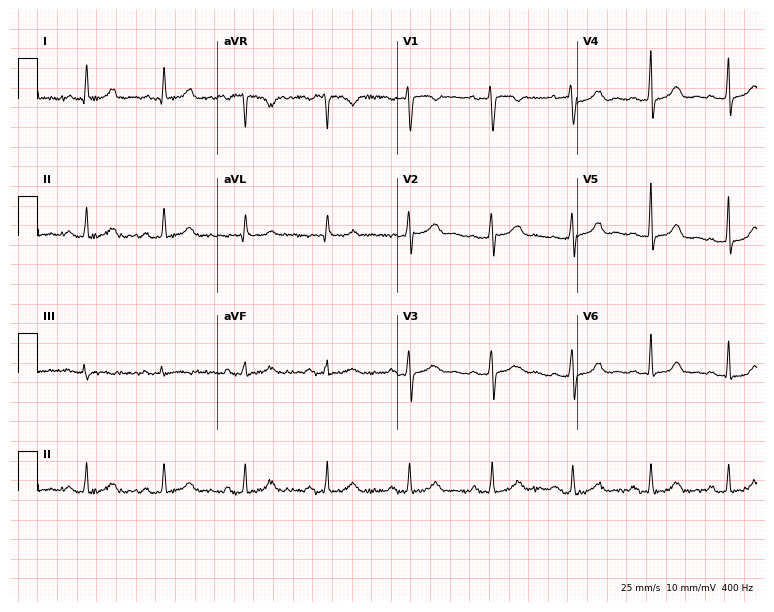
Resting 12-lead electrocardiogram (7.3-second recording at 400 Hz). Patient: a female, 33 years old. Read as a normal ECG.